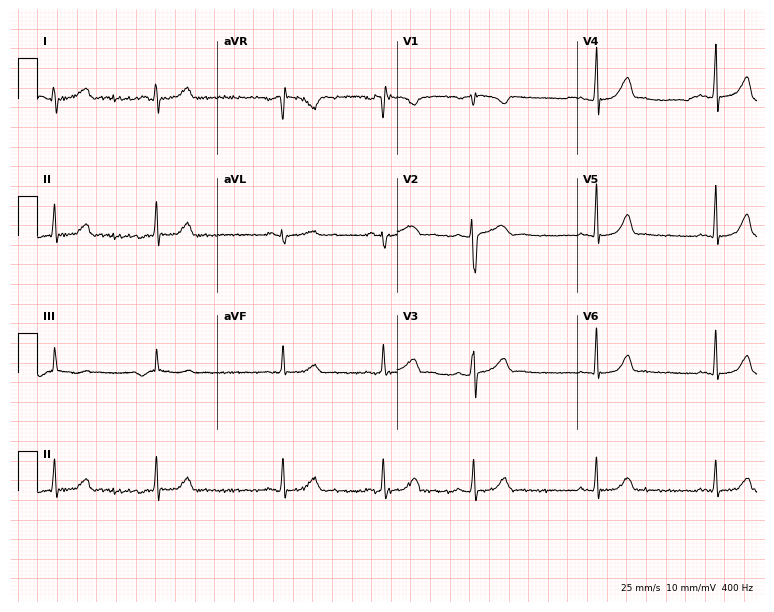
12-lead ECG from a female patient, 22 years old (7.3-second recording at 400 Hz). No first-degree AV block, right bundle branch block, left bundle branch block, sinus bradycardia, atrial fibrillation or sinus tachycardia recorded for this tracing. Findings outside these six are not listed.